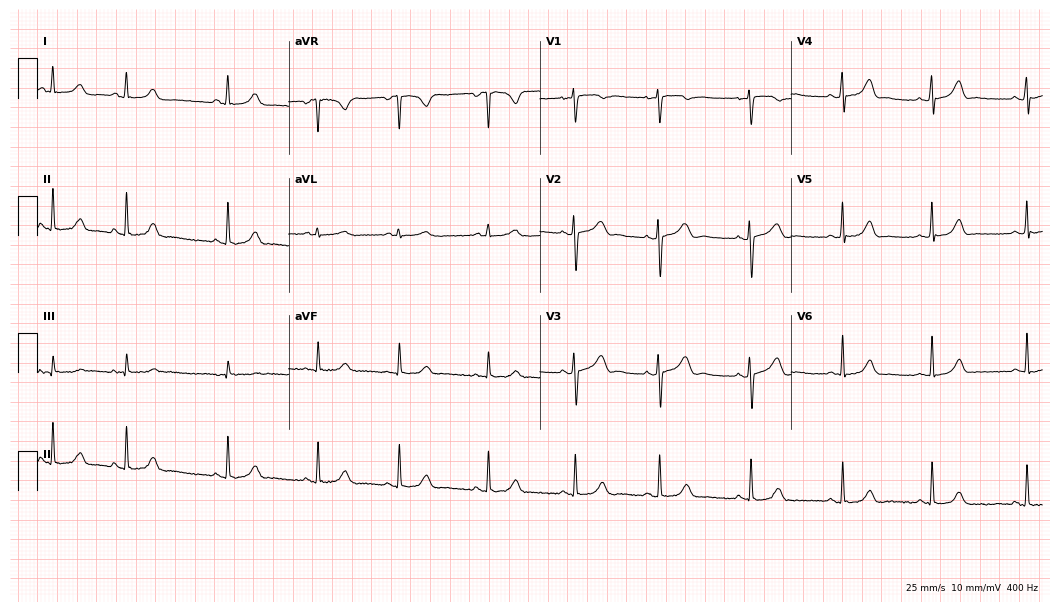
Standard 12-lead ECG recorded from a female patient, 19 years old (10.2-second recording at 400 Hz). None of these six findings is recorded: first-degree AV block, right bundle branch block (RBBB), left bundle branch block (LBBB), sinus bradycardia, atrial fibrillation (AF), sinus tachycardia. Other findings, if any, are not listed.